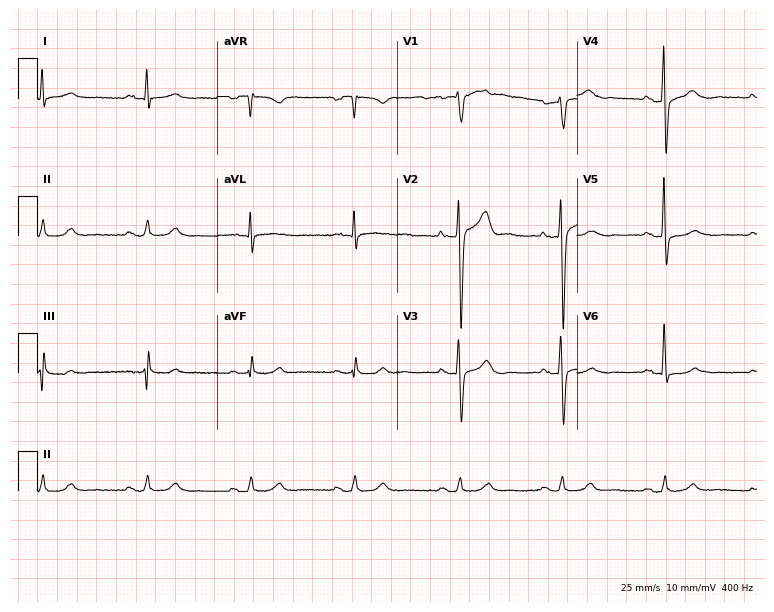
Resting 12-lead electrocardiogram. Patient: a man, 45 years old. Read as a normal ECG.